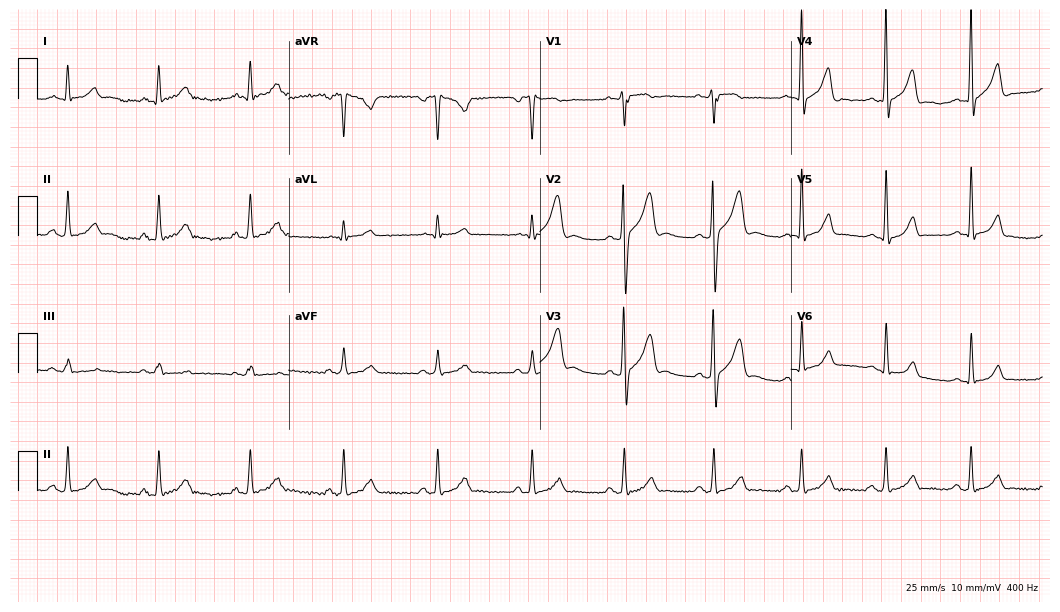
12-lead ECG from a 20-year-old man (10.2-second recording at 400 Hz). Recorded interpretation: within normal limits.